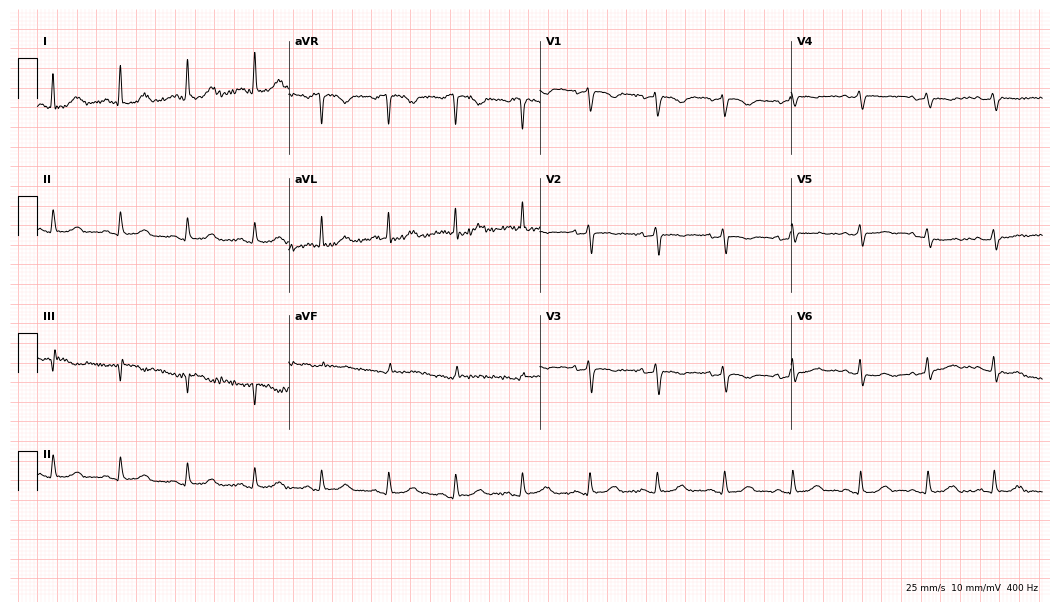
Resting 12-lead electrocardiogram. Patient: a 72-year-old female. None of these six findings is recorded: first-degree AV block, right bundle branch block (RBBB), left bundle branch block (LBBB), sinus bradycardia, atrial fibrillation (AF), sinus tachycardia. Only these six findings were labelled.